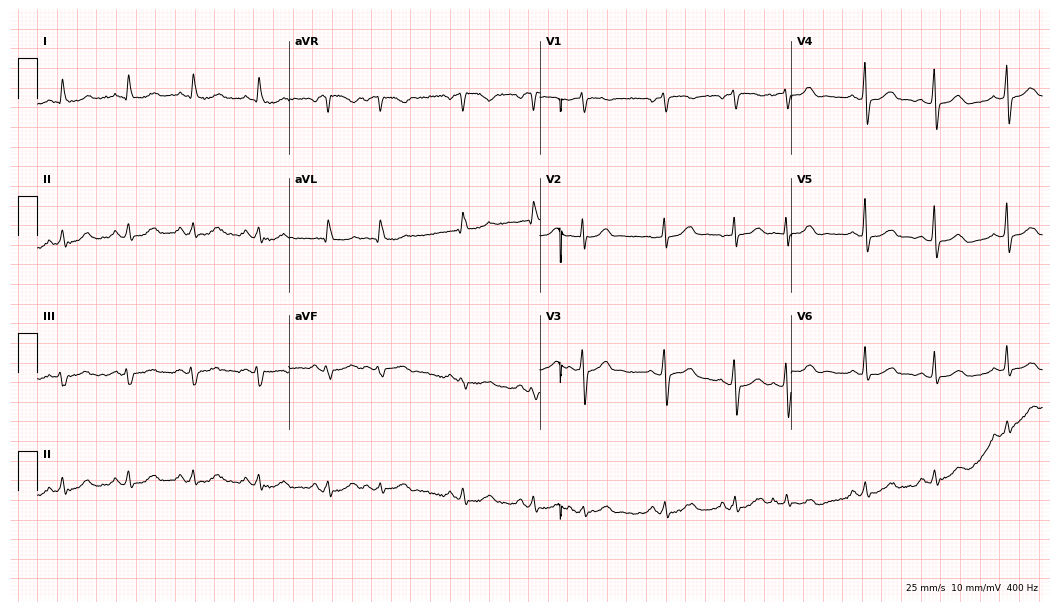
12-lead ECG from a 61-year-old woman. Screened for six findings — first-degree AV block, right bundle branch block (RBBB), left bundle branch block (LBBB), sinus bradycardia, atrial fibrillation (AF), sinus tachycardia — none is recorded. Findings outside these six are not listed.